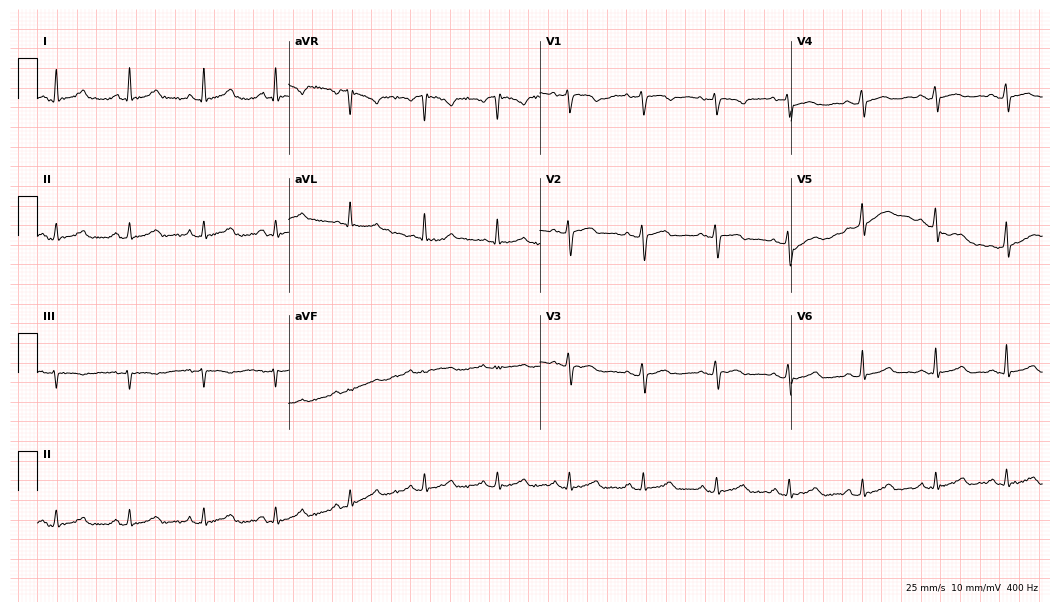
12-lead ECG from a 34-year-old woman. Labelled as a normal ECG.